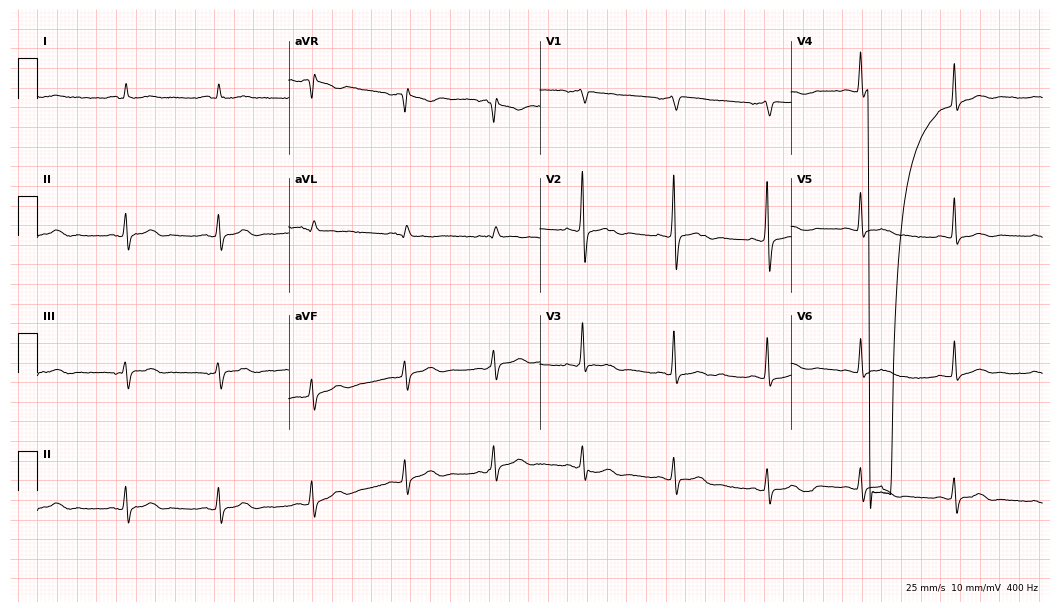
Standard 12-lead ECG recorded from a male patient, 68 years old. None of these six findings is recorded: first-degree AV block, right bundle branch block (RBBB), left bundle branch block (LBBB), sinus bradycardia, atrial fibrillation (AF), sinus tachycardia. Other findings, if any, are not listed.